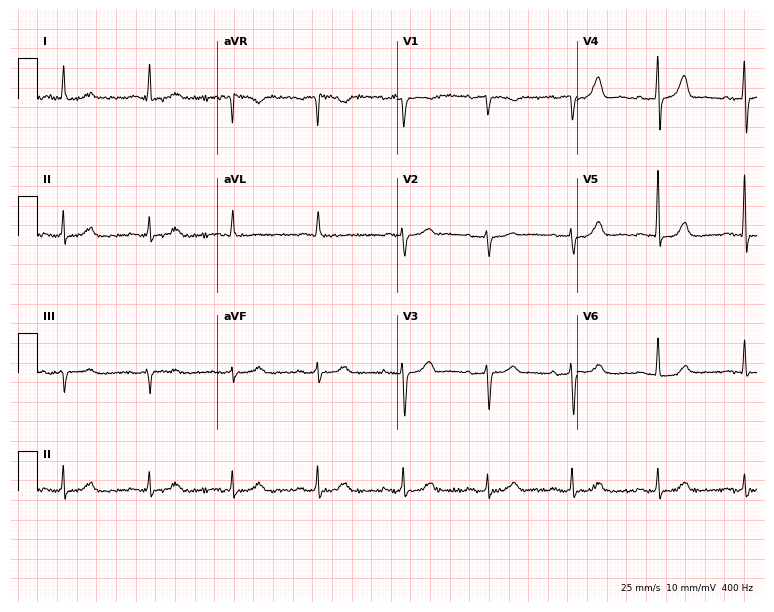
ECG (7.3-second recording at 400 Hz) — an 83-year-old female. Screened for six findings — first-degree AV block, right bundle branch block, left bundle branch block, sinus bradycardia, atrial fibrillation, sinus tachycardia — none is recorded.